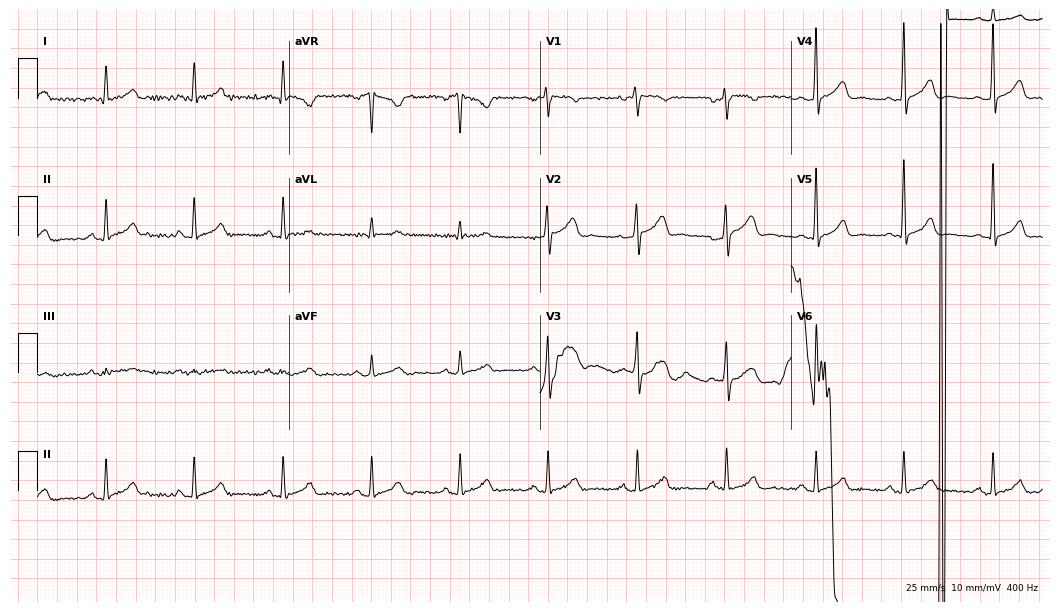
ECG (10.2-second recording at 400 Hz) — a 46-year-old female. Labelled as a normal ECG.